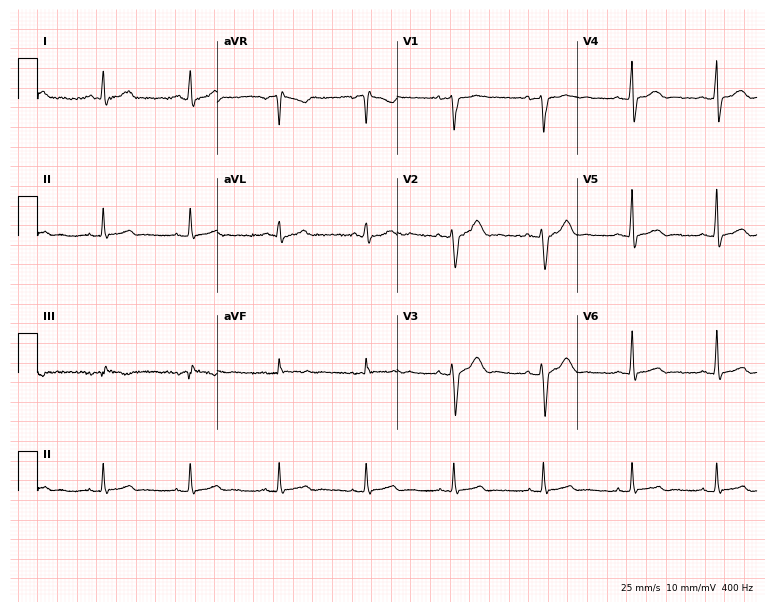
Standard 12-lead ECG recorded from a 27-year-old male patient (7.3-second recording at 400 Hz). None of these six findings is recorded: first-degree AV block, right bundle branch block, left bundle branch block, sinus bradycardia, atrial fibrillation, sinus tachycardia. Findings outside these six are not listed.